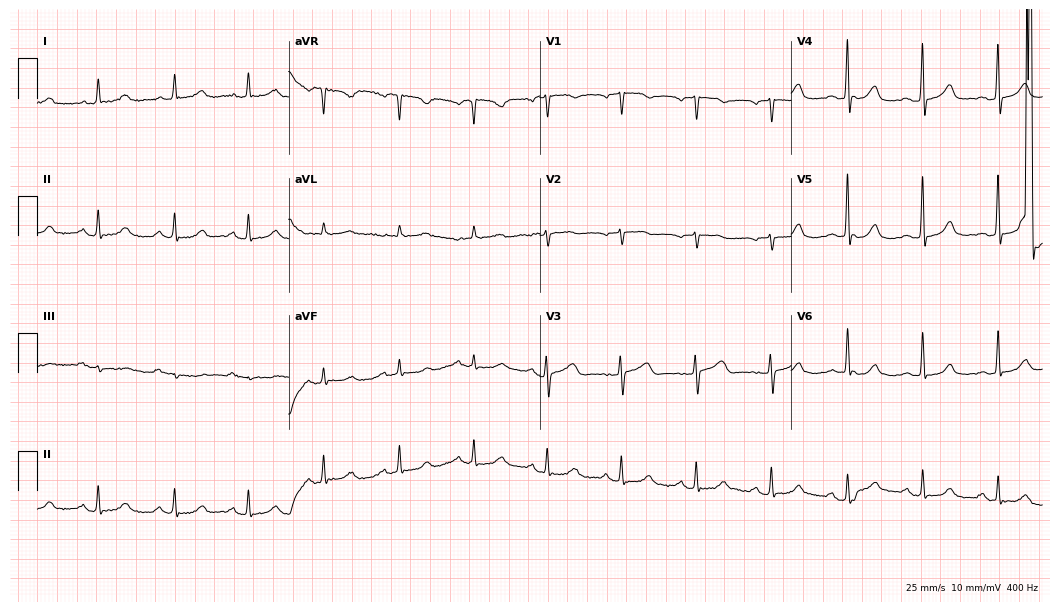
Standard 12-lead ECG recorded from a 66-year-old female. Read as a normal ECG.